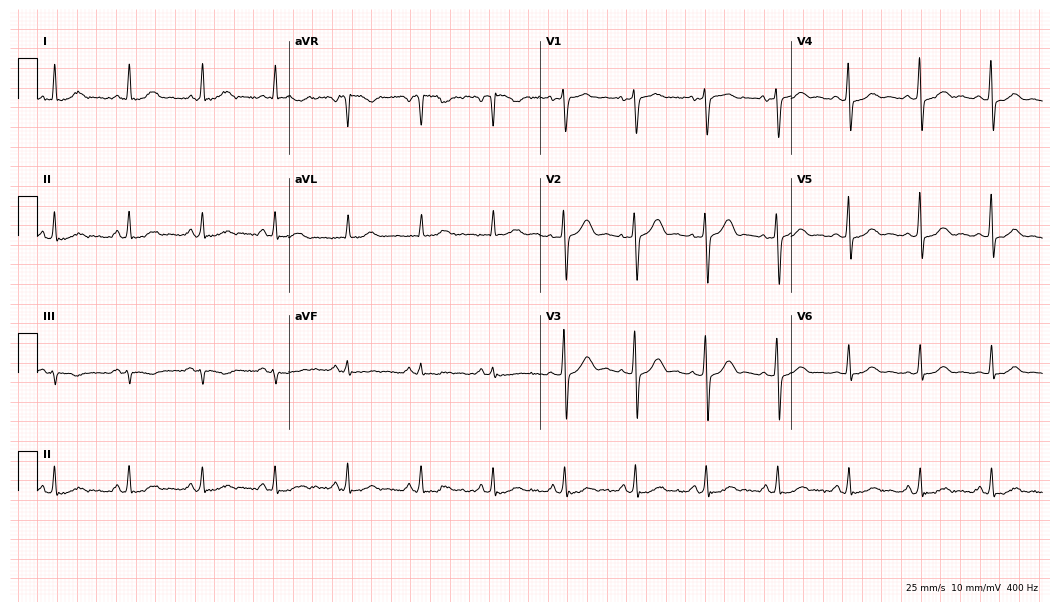
ECG — a 42-year-old female. Labelled as a normal ECG.